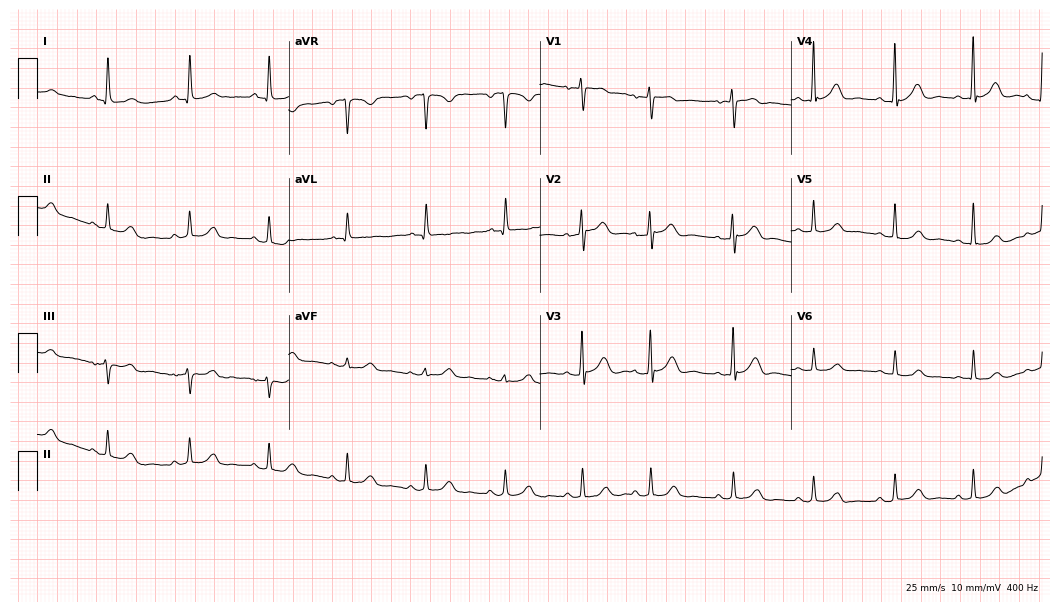
ECG — a 69-year-old female. Labelled as a normal ECG.